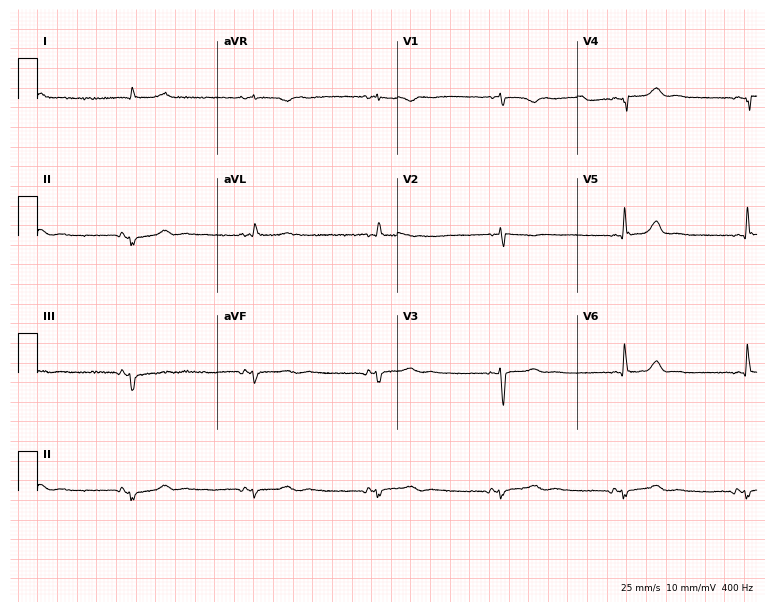
Electrocardiogram (7.3-second recording at 400 Hz), a female, 54 years old. Of the six screened findings (first-degree AV block, right bundle branch block, left bundle branch block, sinus bradycardia, atrial fibrillation, sinus tachycardia), none is recorded.